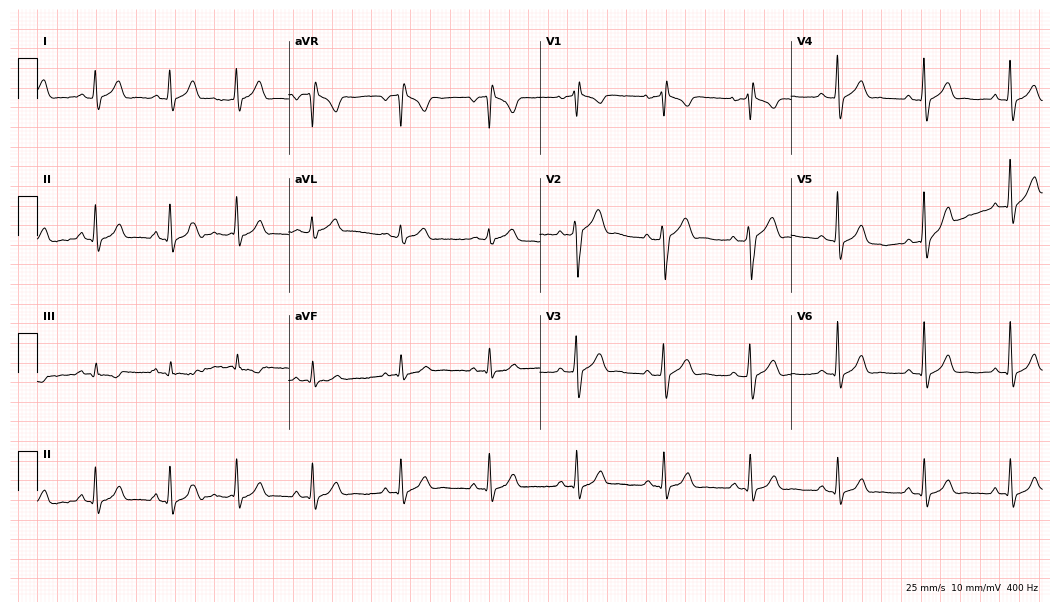
Electrocardiogram, a male, 29 years old. Of the six screened findings (first-degree AV block, right bundle branch block, left bundle branch block, sinus bradycardia, atrial fibrillation, sinus tachycardia), none is recorded.